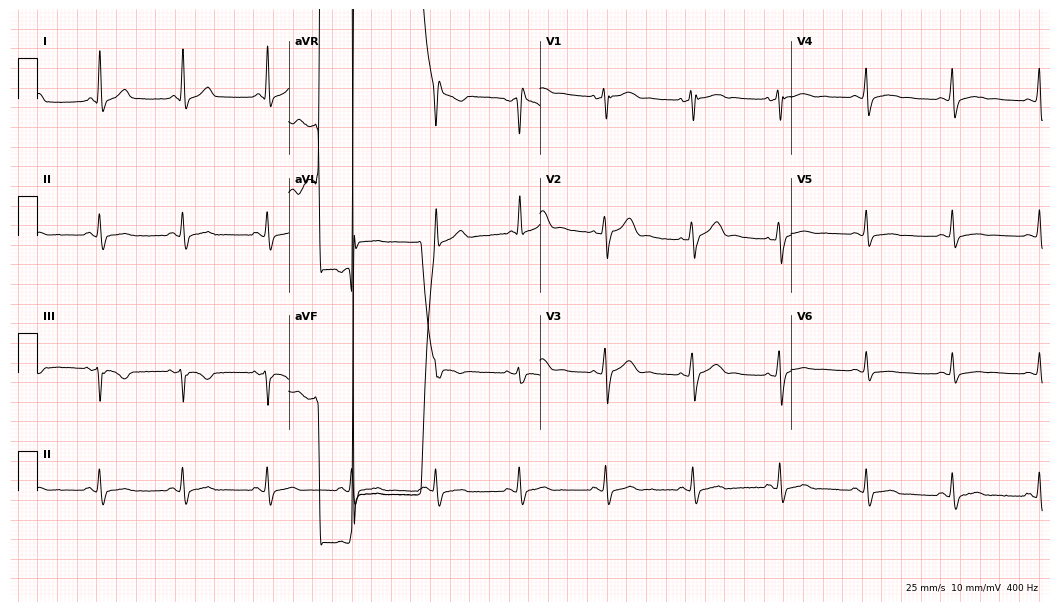
Resting 12-lead electrocardiogram (10.2-second recording at 400 Hz). Patient: a 33-year-old male. None of these six findings is recorded: first-degree AV block, right bundle branch block (RBBB), left bundle branch block (LBBB), sinus bradycardia, atrial fibrillation (AF), sinus tachycardia.